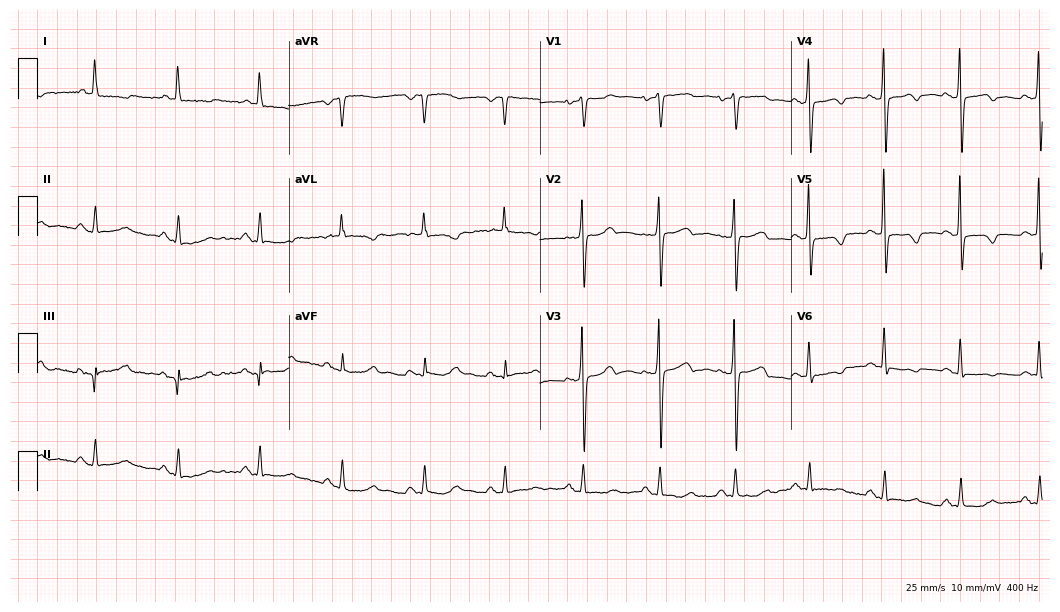
Standard 12-lead ECG recorded from a woman, 72 years old. None of these six findings is recorded: first-degree AV block, right bundle branch block, left bundle branch block, sinus bradycardia, atrial fibrillation, sinus tachycardia. Findings outside these six are not listed.